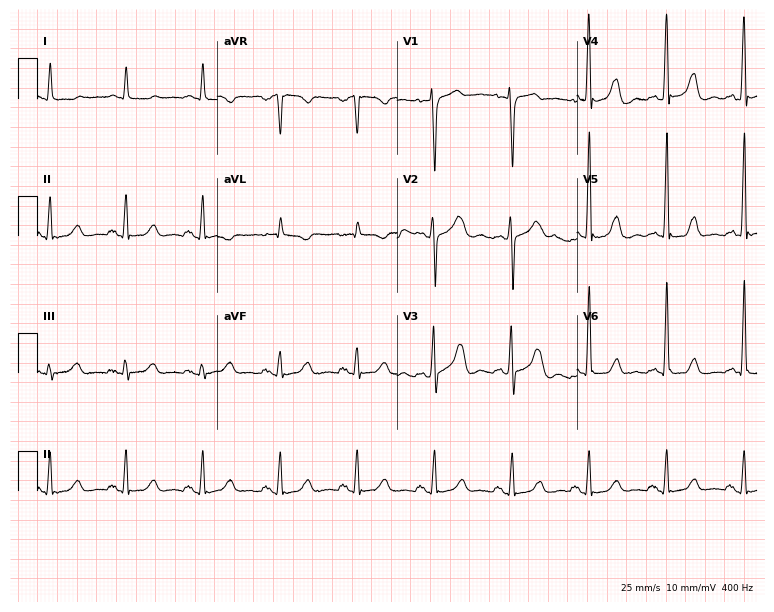
Electrocardiogram, a woman, 47 years old. Overall reading on record: normal ECG.